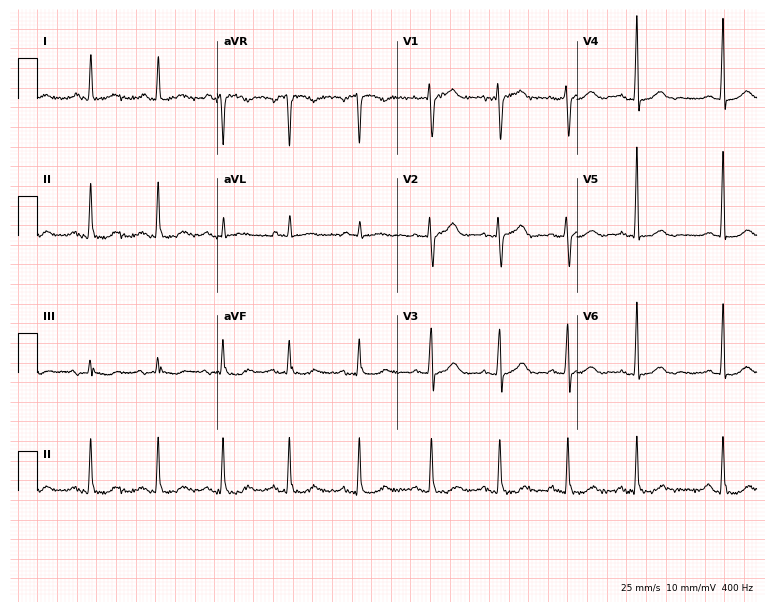
Standard 12-lead ECG recorded from a 68-year-old female patient (7.3-second recording at 400 Hz). None of these six findings is recorded: first-degree AV block, right bundle branch block, left bundle branch block, sinus bradycardia, atrial fibrillation, sinus tachycardia. Only these six findings were labelled.